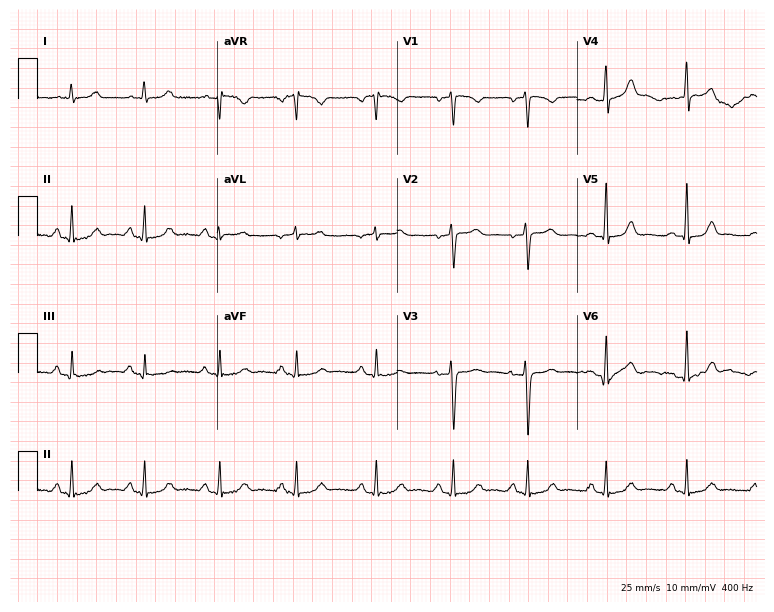
Electrocardiogram (7.3-second recording at 400 Hz), a 49-year-old female. Overall reading on record: normal ECG.